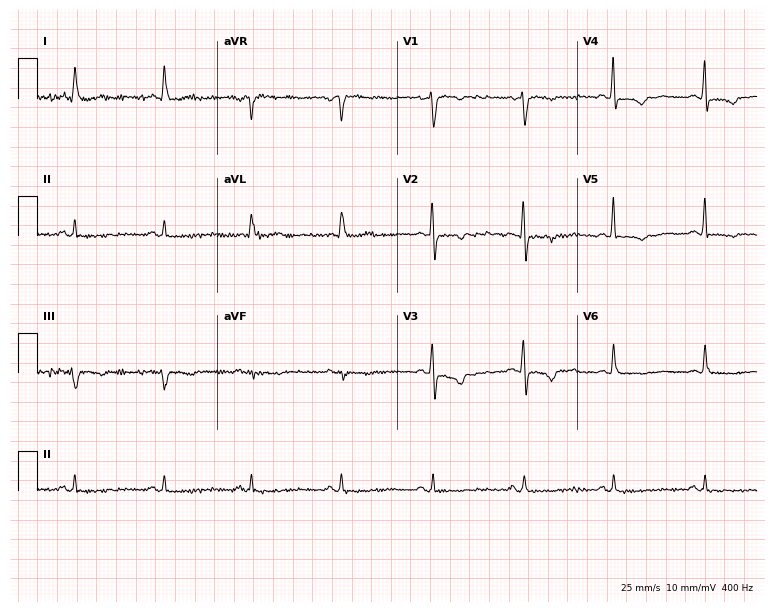
Standard 12-lead ECG recorded from a woman, 55 years old (7.3-second recording at 400 Hz). None of these six findings is recorded: first-degree AV block, right bundle branch block (RBBB), left bundle branch block (LBBB), sinus bradycardia, atrial fibrillation (AF), sinus tachycardia. Other findings, if any, are not listed.